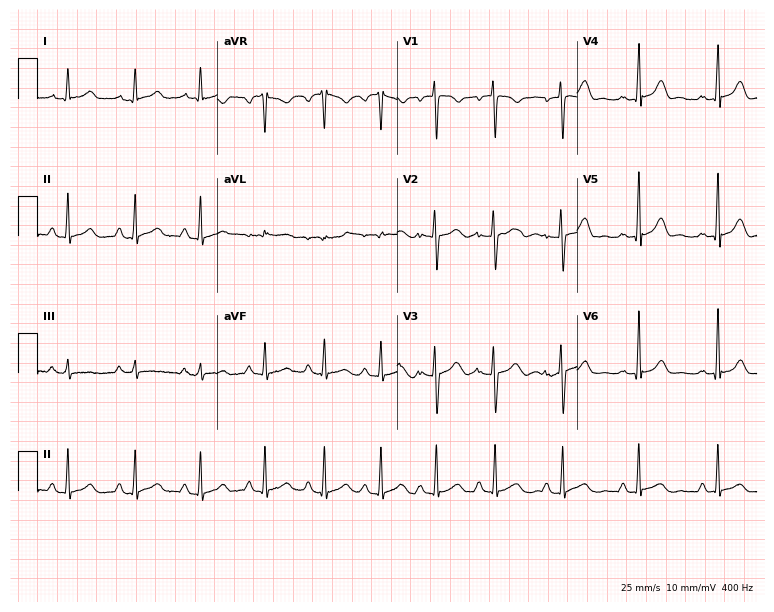
12-lead ECG from a woman, 30 years old. No first-degree AV block, right bundle branch block, left bundle branch block, sinus bradycardia, atrial fibrillation or sinus tachycardia recorded for this tracing.